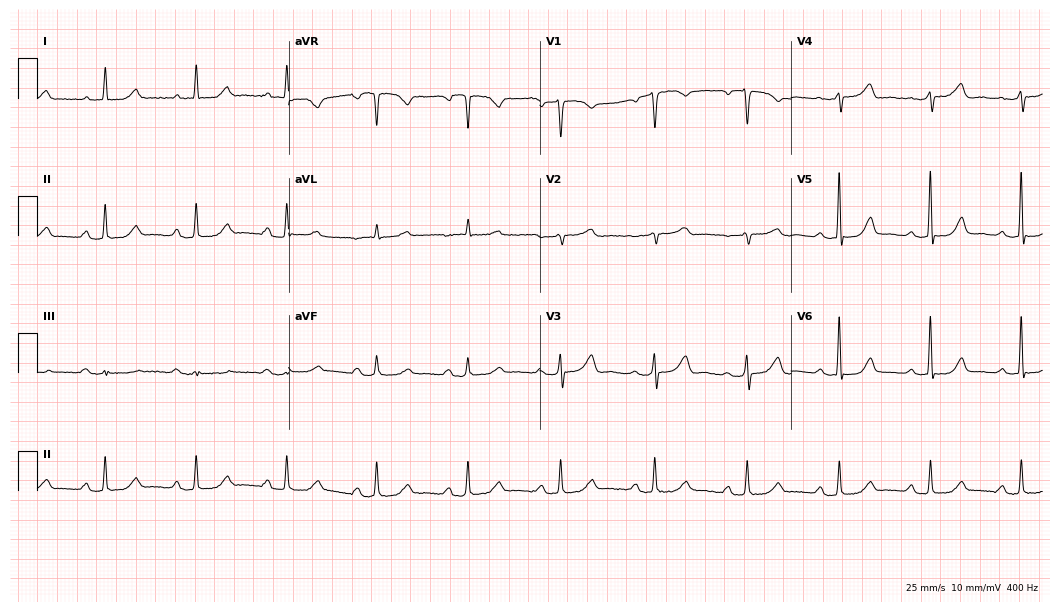
12-lead ECG from a female patient, 80 years old. Shows first-degree AV block.